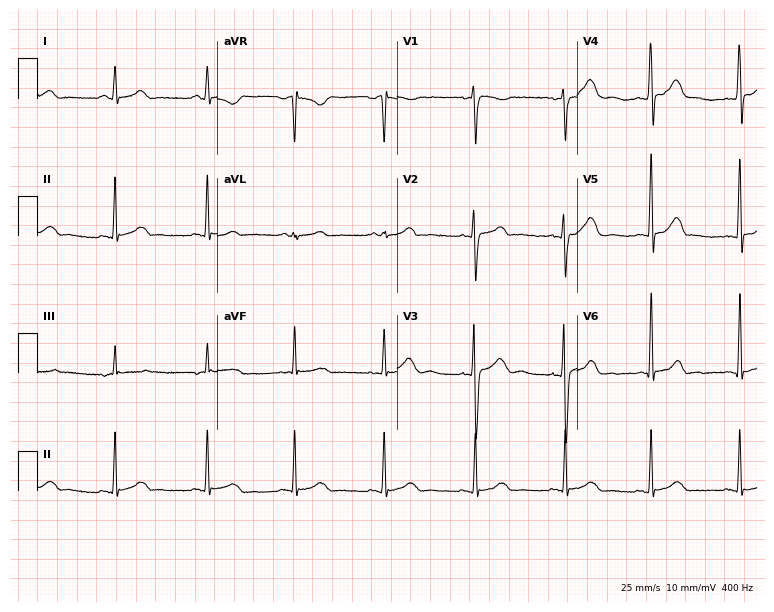
12-lead ECG from a 41-year-old female (7.3-second recording at 400 Hz). Recorded interpretation: within normal limits.